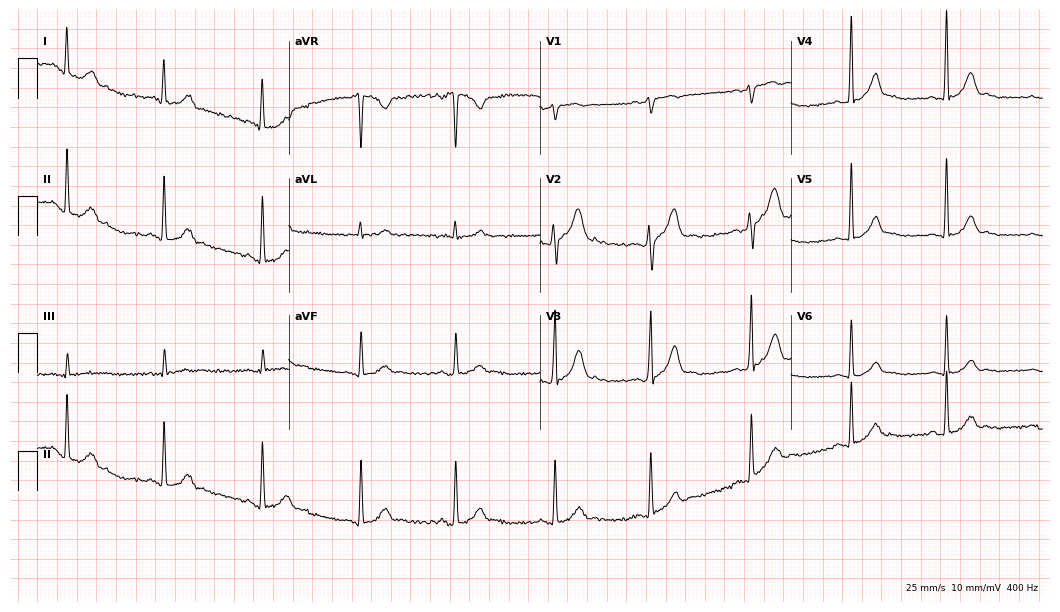
Standard 12-lead ECG recorded from a male patient, 28 years old. None of these six findings is recorded: first-degree AV block, right bundle branch block, left bundle branch block, sinus bradycardia, atrial fibrillation, sinus tachycardia. Findings outside these six are not listed.